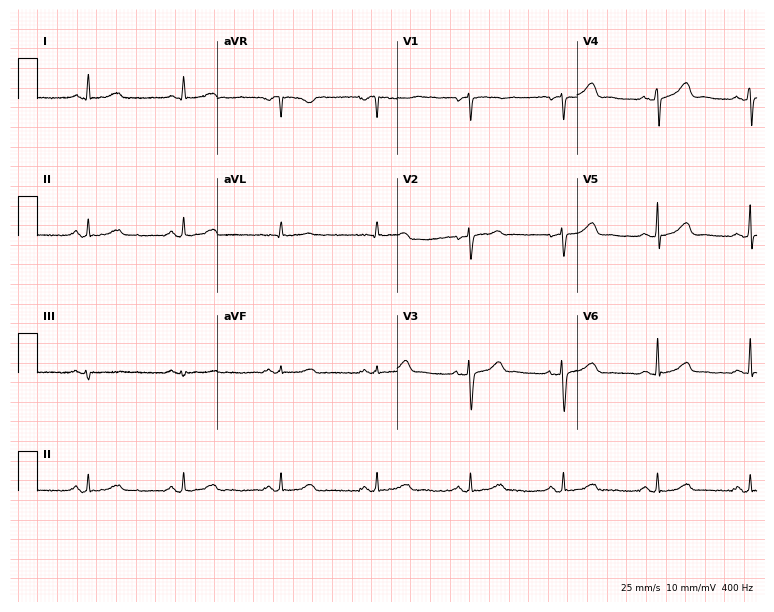
Resting 12-lead electrocardiogram (7.3-second recording at 400 Hz). Patient: a woman, 64 years old. Read as a normal ECG.